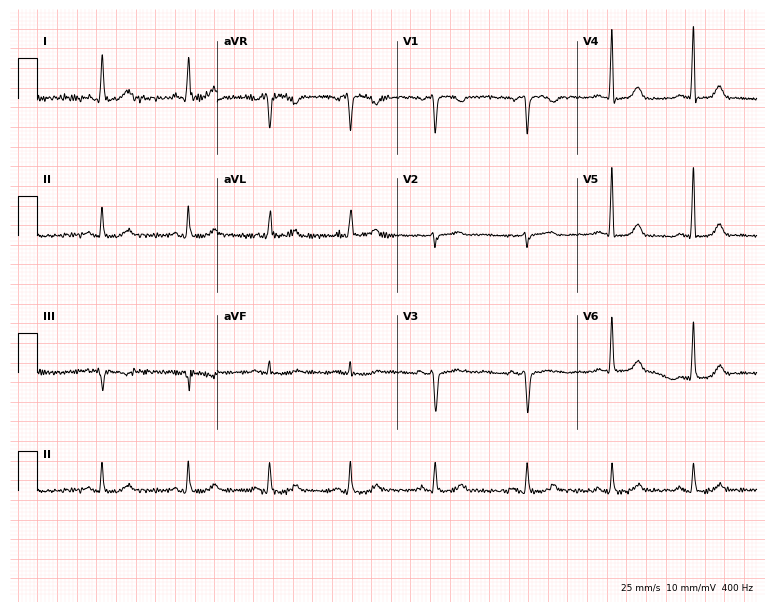
12-lead ECG (7.3-second recording at 400 Hz) from a female, 48 years old. Labelled as a normal ECG.